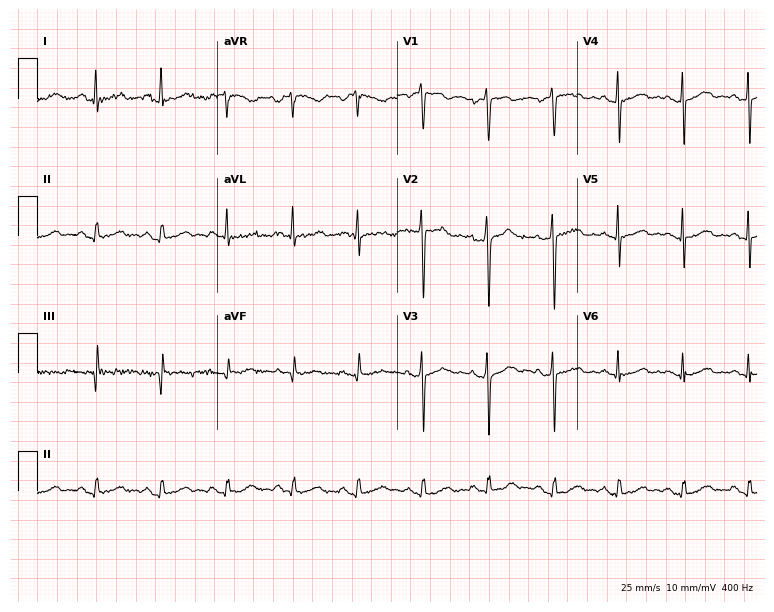
Resting 12-lead electrocardiogram (7.3-second recording at 400 Hz). Patient: a 47-year-old female. None of these six findings is recorded: first-degree AV block, right bundle branch block, left bundle branch block, sinus bradycardia, atrial fibrillation, sinus tachycardia. Findings outside these six are not listed.